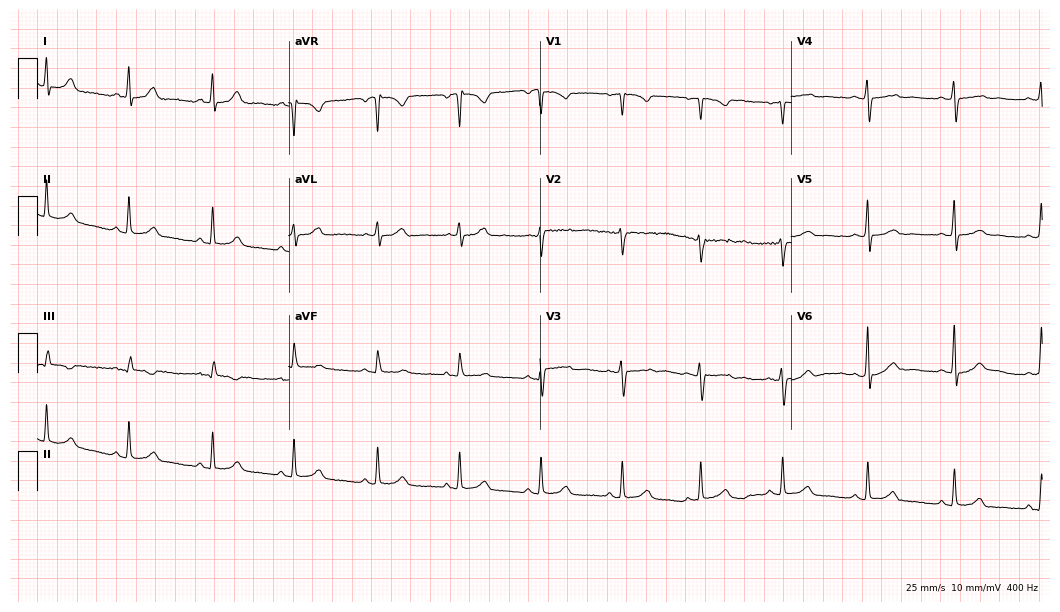
Standard 12-lead ECG recorded from a 37-year-old woman (10.2-second recording at 400 Hz). Read as a normal ECG.